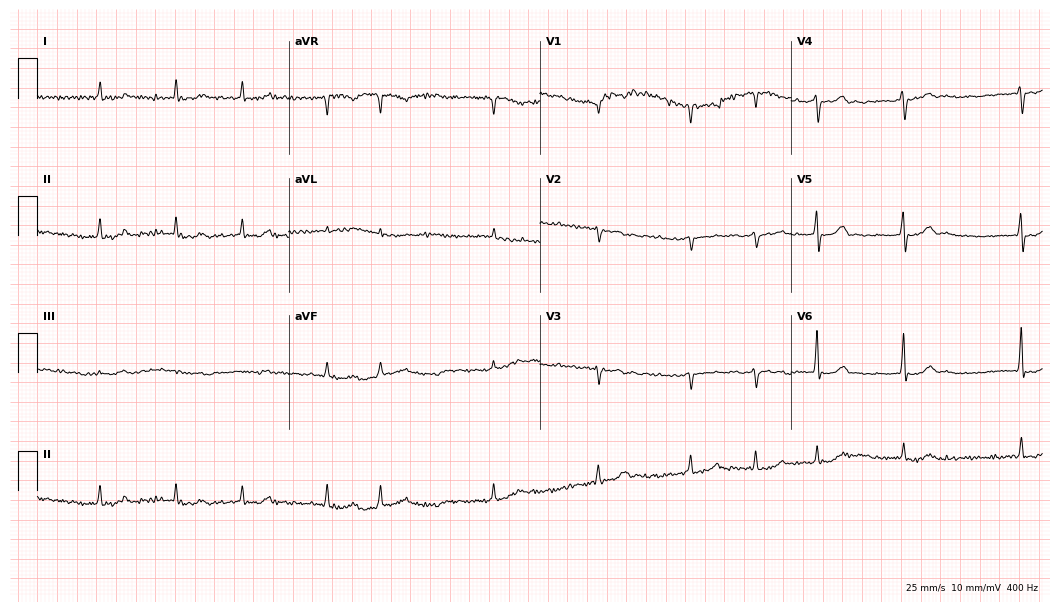
ECG — a female, 76 years old. Findings include atrial fibrillation.